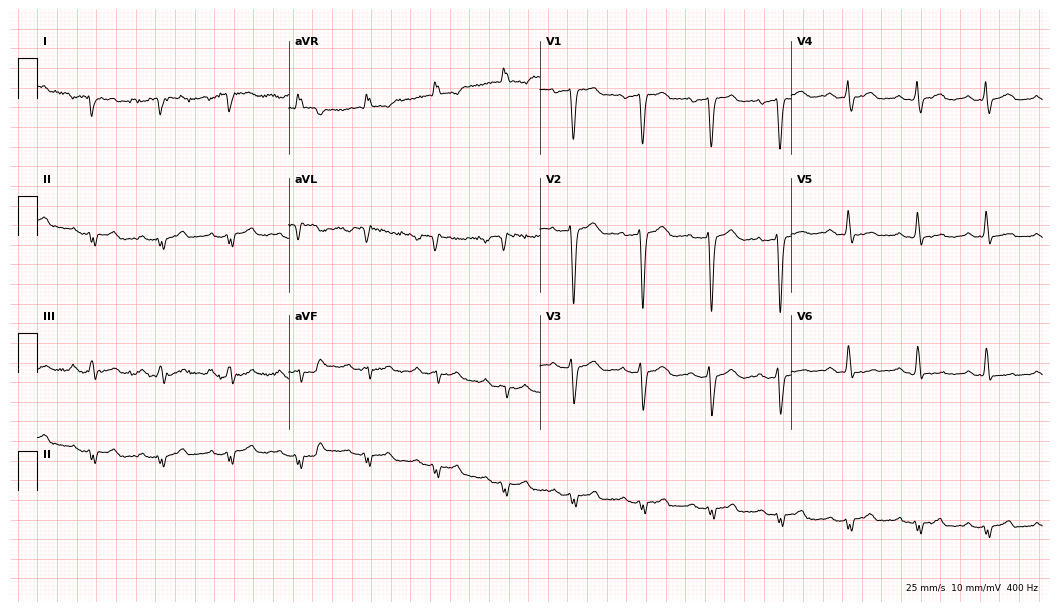
Resting 12-lead electrocardiogram (10.2-second recording at 400 Hz). Patient: a man, 44 years old. None of these six findings is recorded: first-degree AV block, right bundle branch block, left bundle branch block, sinus bradycardia, atrial fibrillation, sinus tachycardia. Only these six findings were labelled.